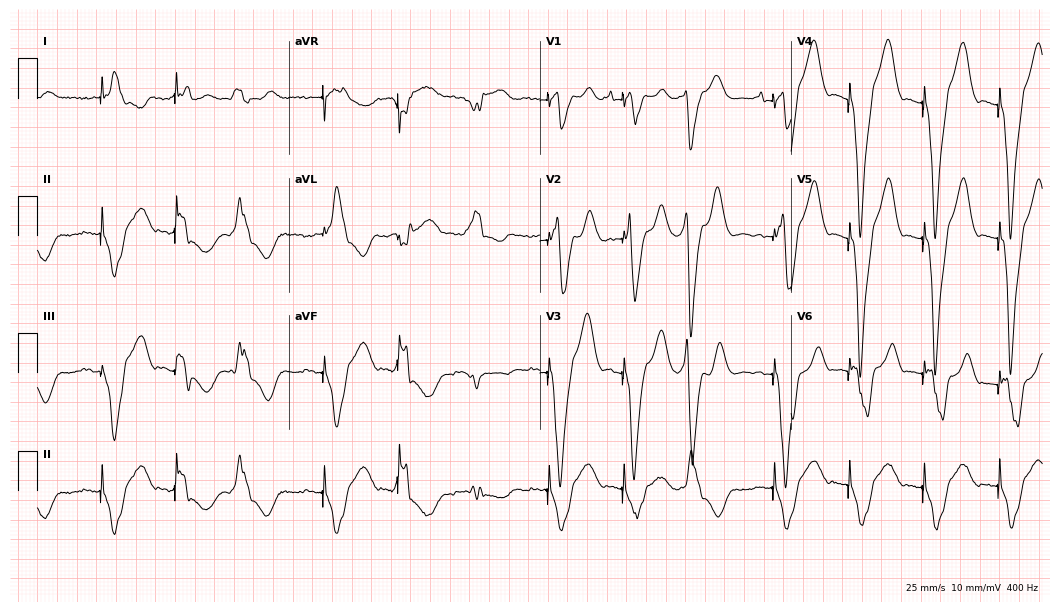
Resting 12-lead electrocardiogram (10.2-second recording at 400 Hz). Patient: a 78-year-old male. None of these six findings is recorded: first-degree AV block, right bundle branch block, left bundle branch block, sinus bradycardia, atrial fibrillation, sinus tachycardia.